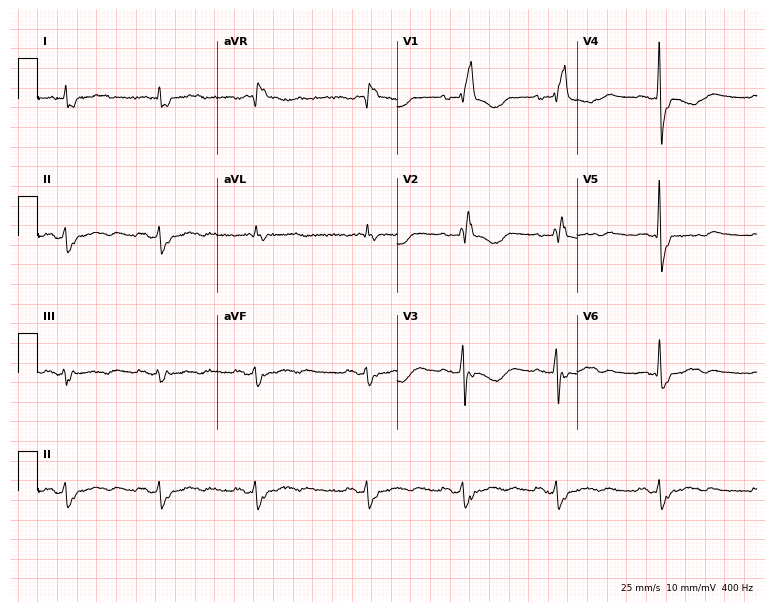
12-lead ECG (7.3-second recording at 400 Hz) from a 77-year-old female patient. Findings include right bundle branch block.